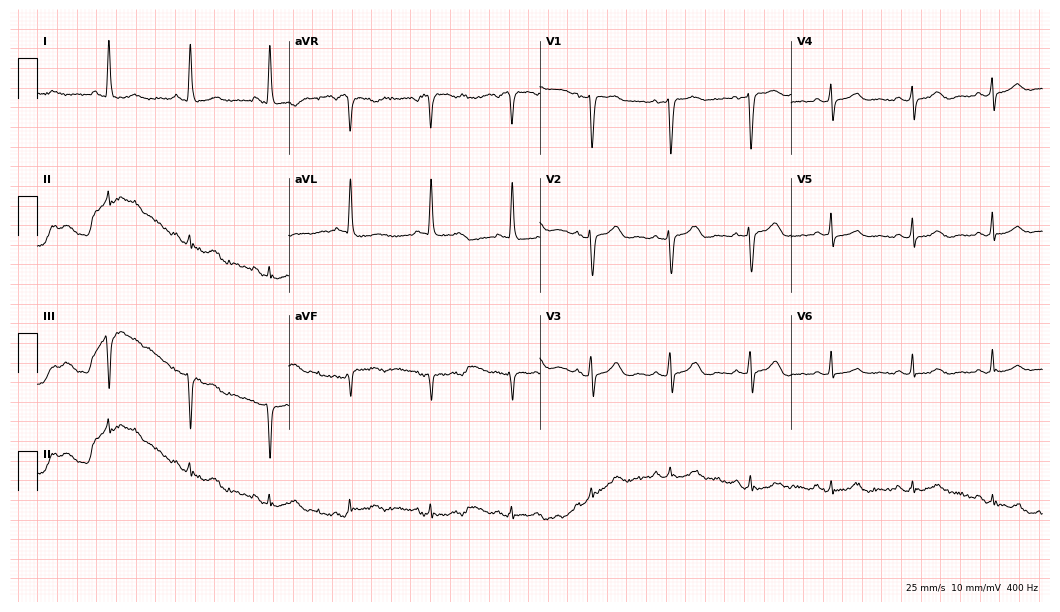
12-lead ECG (10.2-second recording at 400 Hz) from a female, 77 years old. Screened for six findings — first-degree AV block, right bundle branch block, left bundle branch block, sinus bradycardia, atrial fibrillation, sinus tachycardia — none is recorded. Only these six findings were labelled.